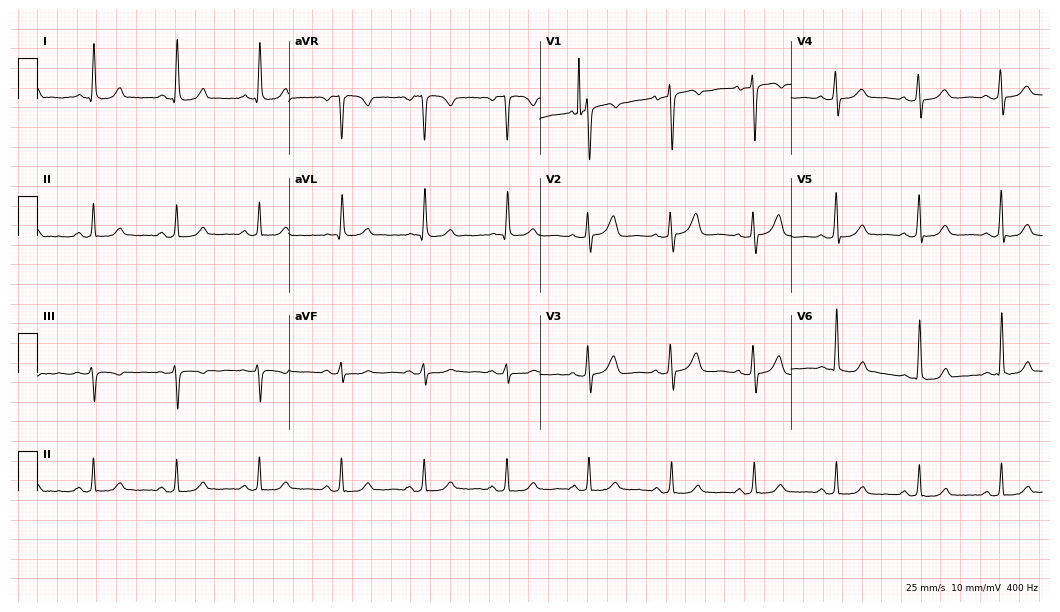
Standard 12-lead ECG recorded from a female patient, 65 years old. None of these six findings is recorded: first-degree AV block, right bundle branch block, left bundle branch block, sinus bradycardia, atrial fibrillation, sinus tachycardia. Other findings, if any, are not listed.